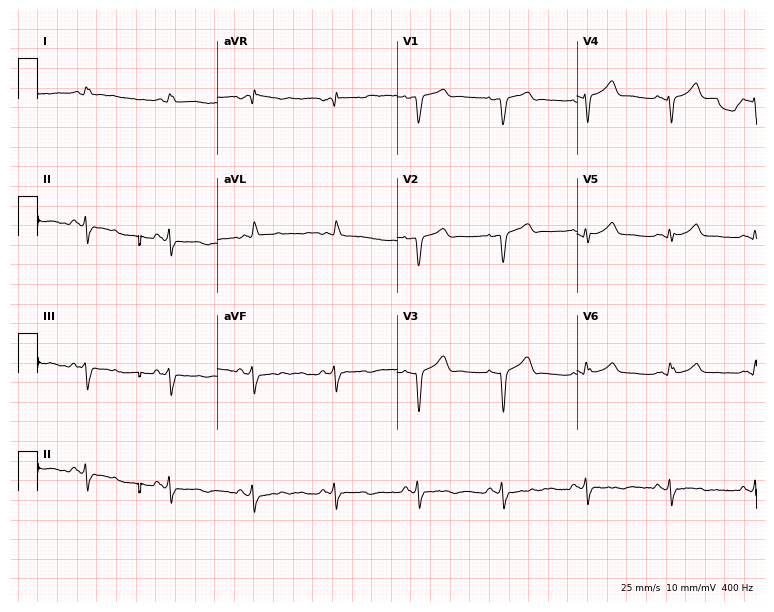
ECG (7.3-second recording at 400 Hz) — a man, 66 years old. Screened for six findings — first-degree AV block, right bundle branch block (RBBB), left bundle branch block (LBBB), sinus bradycardia, atrial fibrillation (AF), sinus tachycardia — none is recorded.